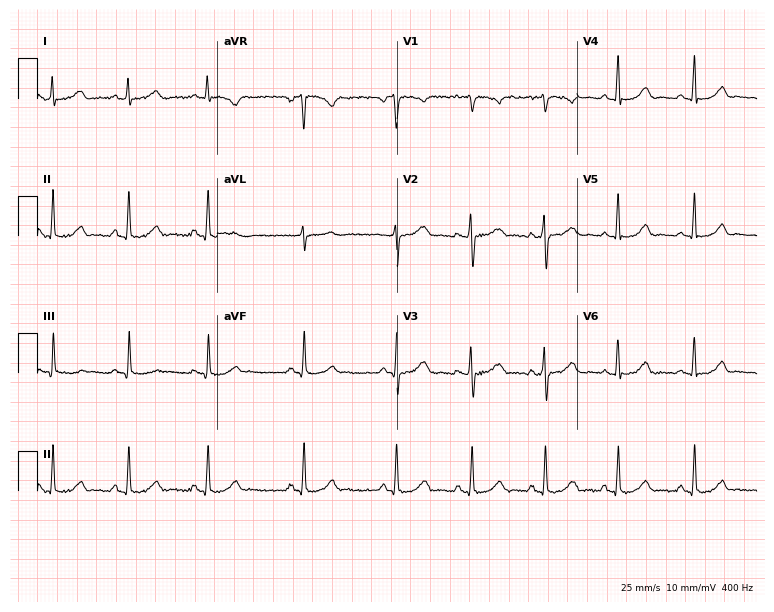
Electrocardiogram (7.3-second recording at 400 Hz), a female, 39 years old. Overall reading on record: normal ECG.